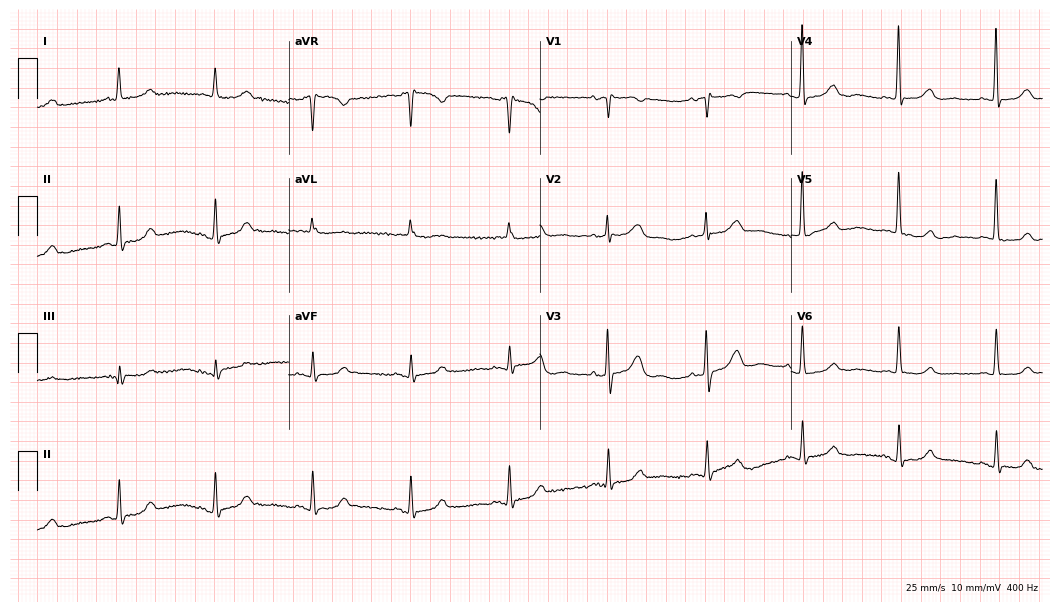
12-lead ECG (10.2-second recording at 400 Hz) from a female patient, 72 years old. Labelled as a normal ECG.